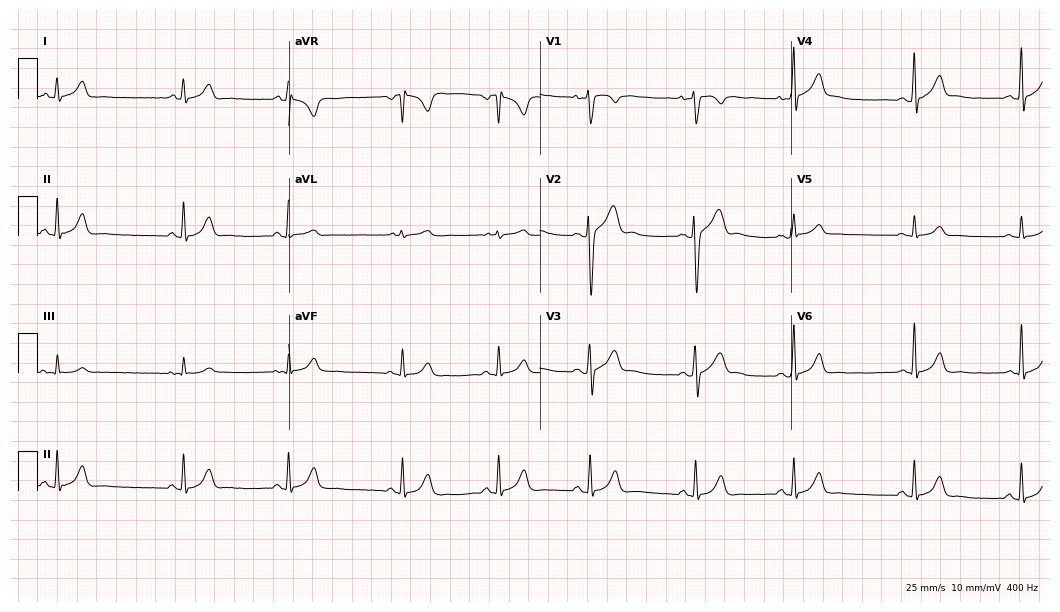
ECG — an 18-year-old man. Labelled as a normal ECG.